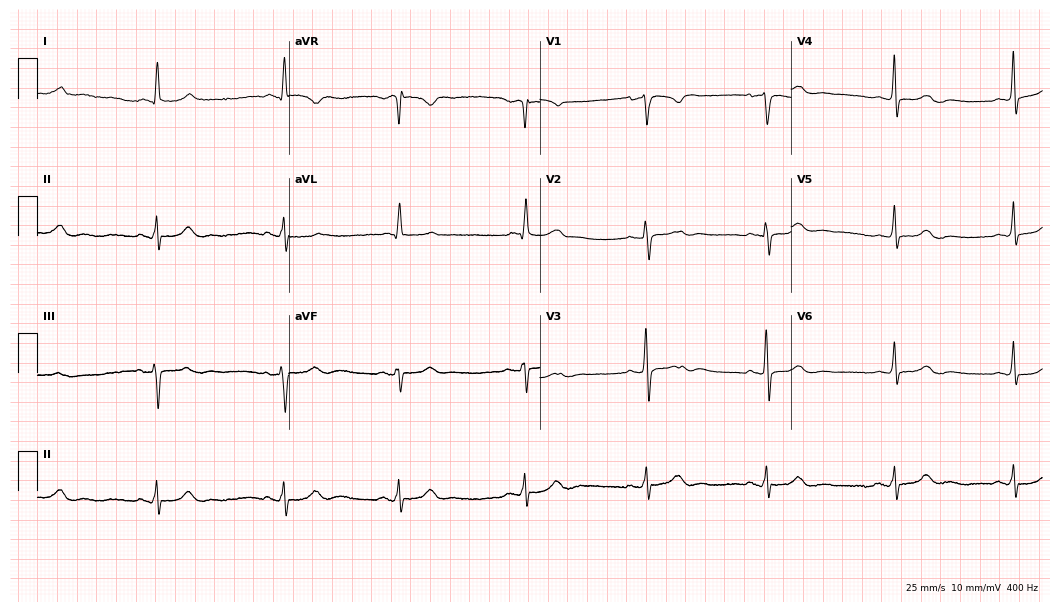
ECG (10.2-second recording at 400 Hz) — a woman, 76 years old. Findings include sinus bradycardia (a sinus rate of 50 beats per minute or less).